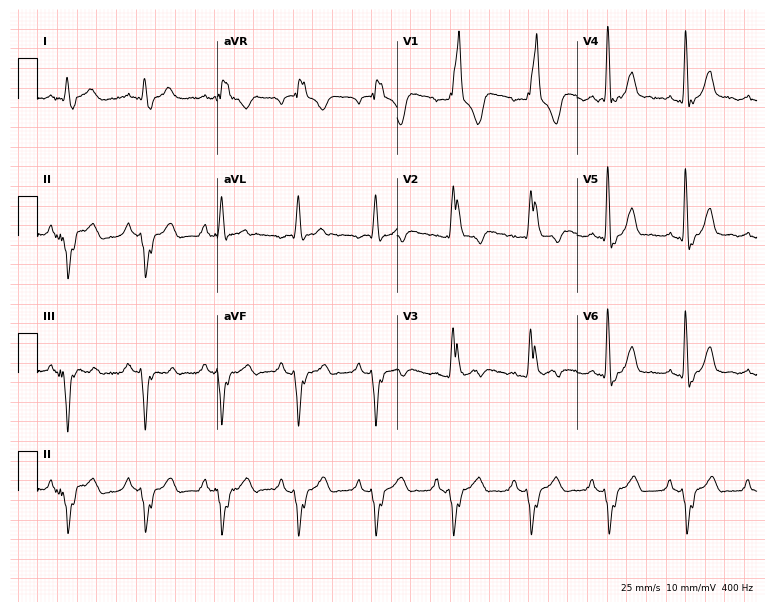
12-lead ECG from a male patient, 75 years old. Shows right bundle branch block.